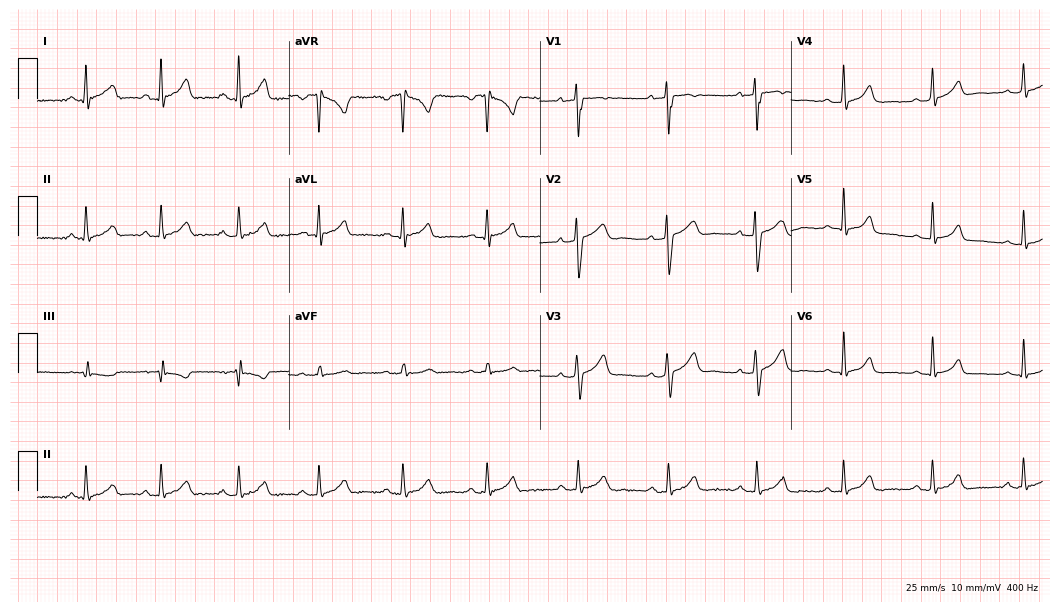
Electrocardiogram (10.2-second recording at 400 Hz), a 27-year-old female. Overall reading on record: normal ECG.